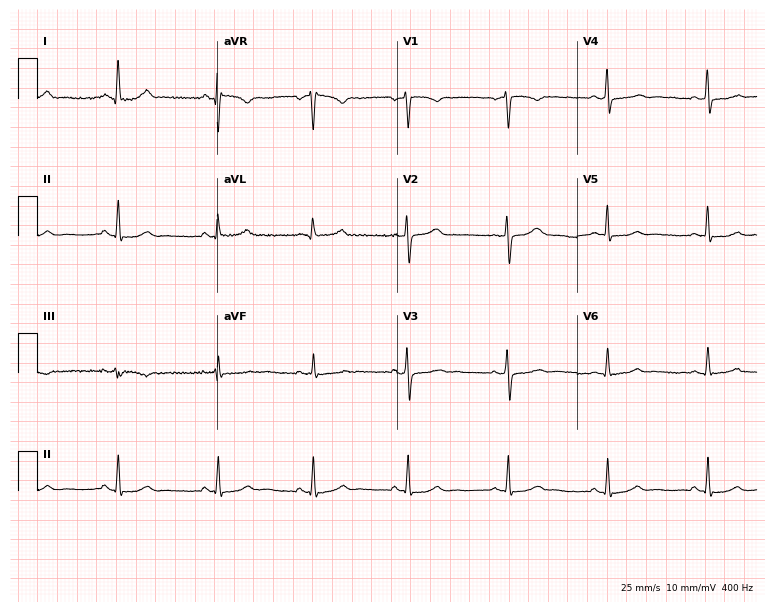
Standard 12-lead ECG recorded from a female patient, 49 years old (7.3-second recording at 400 Hz). None of these six findings is recorded: first-degree AV block, right bundle branch block (RBBB), left bundle branch block (LBBB), sinus bradycardia, atrial fibrillation (AF), sinus tachycardia. Findings outside these six are not listed.